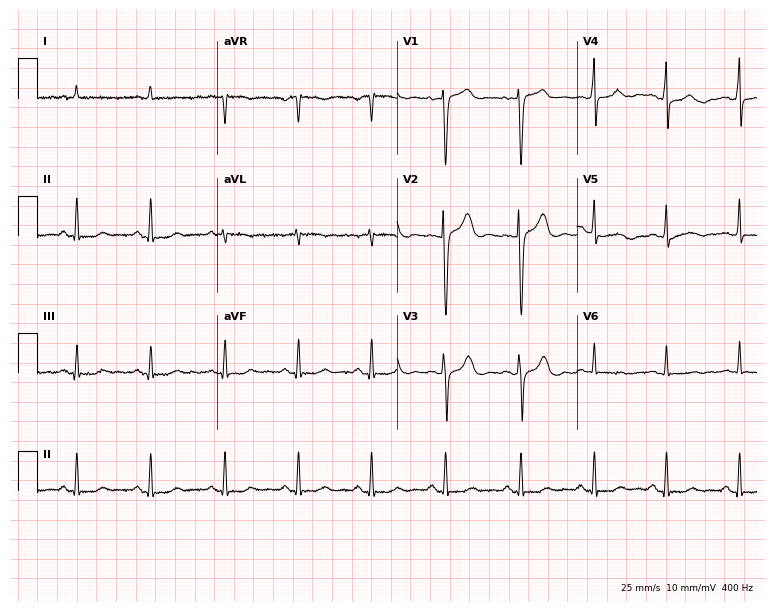
Standard 12-lead ECG recorded from a 47-year-old woman (7.3-second recording at 400 Hz). None of these six findings is recorded: first-degree AV block, right bundle branch block, left bundle branch block, sinus bradycardia, atrial fibrillation, sinus tachycardia. Findings outside these six are not listed.